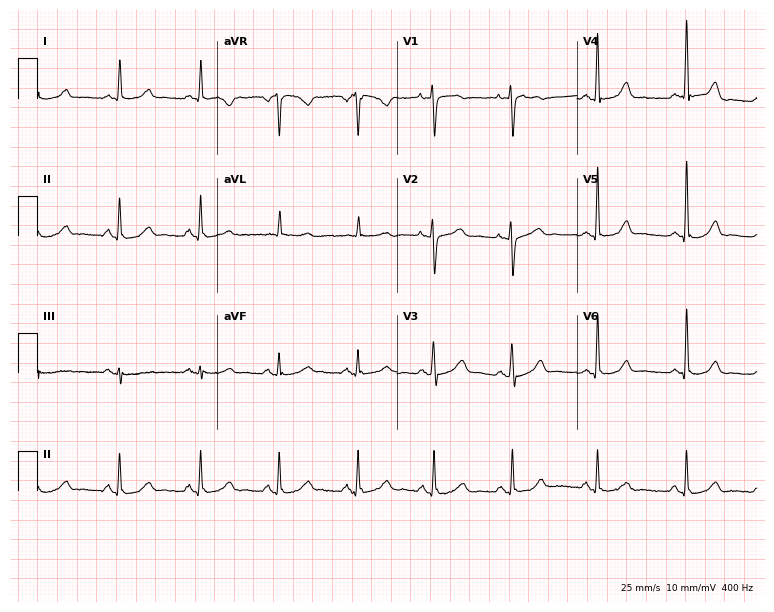
Standard 12-lead ECG recorded from a 57-year-old female (7.3-second recording at 400 Hz). Read as a normal ECG.